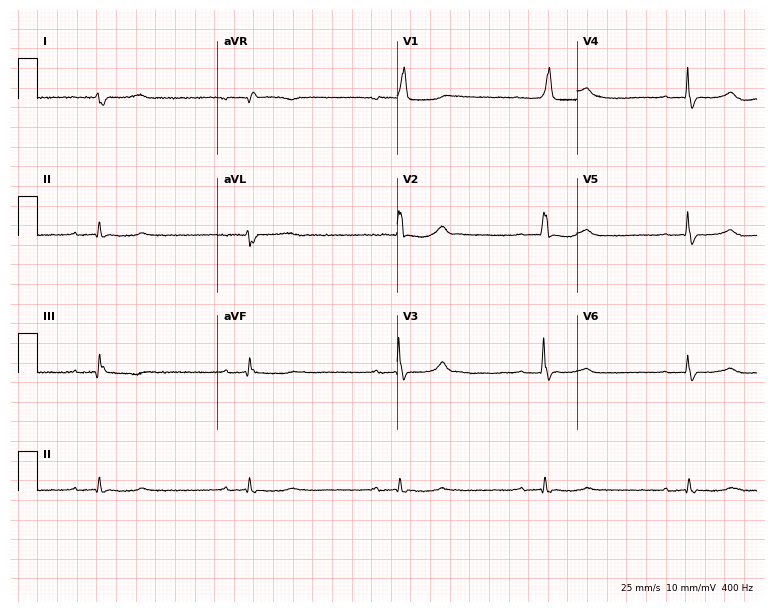
12-lead ECG from a female, 66 years old. Screened for six findings — first-degree AV block, right bundle branch block, left bundle branch block, sinus bradycardia, atrial fibrillation, sinus tachycardia — none is recorded.